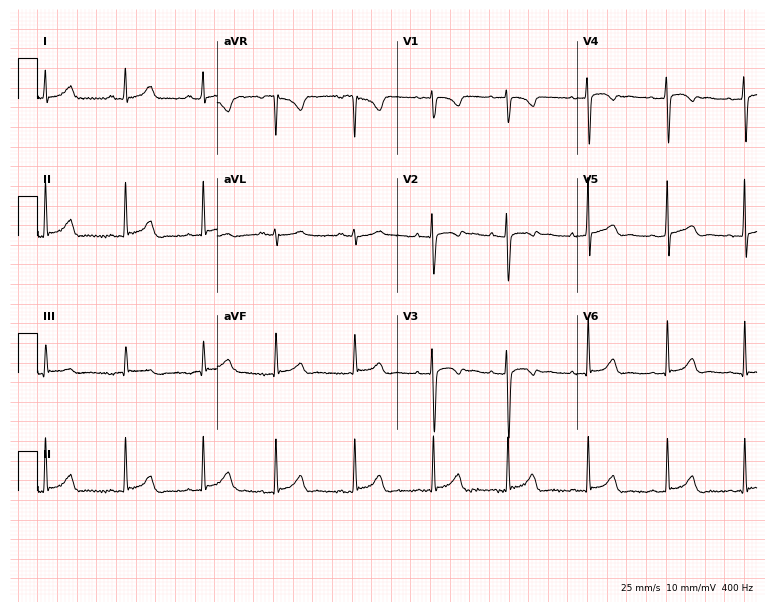
12-lead ECG from an 18-year-old female. Recorded interpretation: within normal limits.